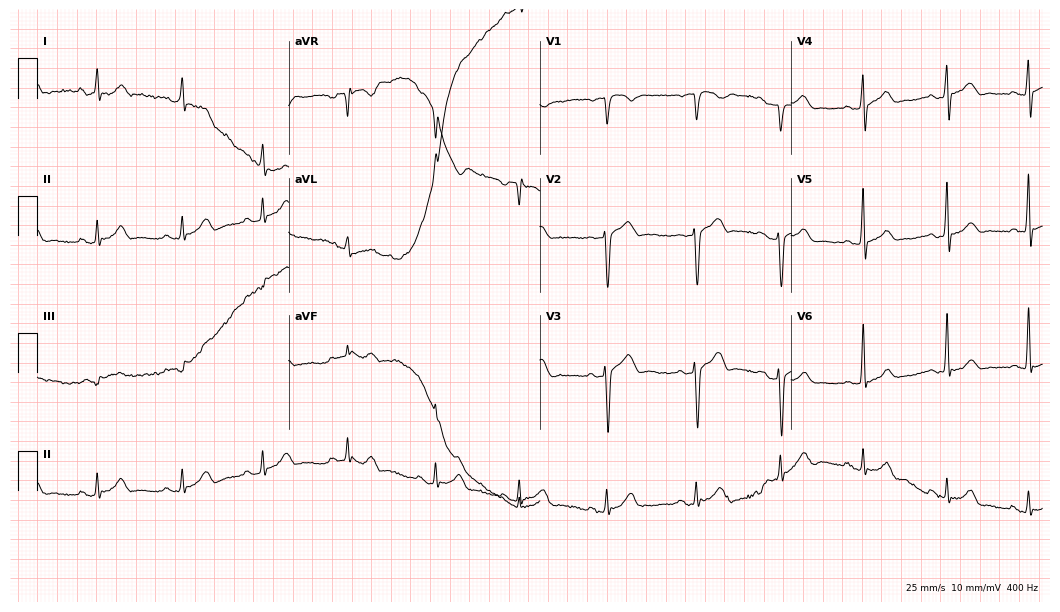
Resting 12-lead electrocardiogram. Patient: a male, 34 years old. None of these six findings is recorded: first-degree AV block, right bundle branch block (RBBB), left bundle branch block (LBBB), sinus bradycardia, atrial fibrillation (AF), sinus tachycardia. Other findings, if any, are not listed.